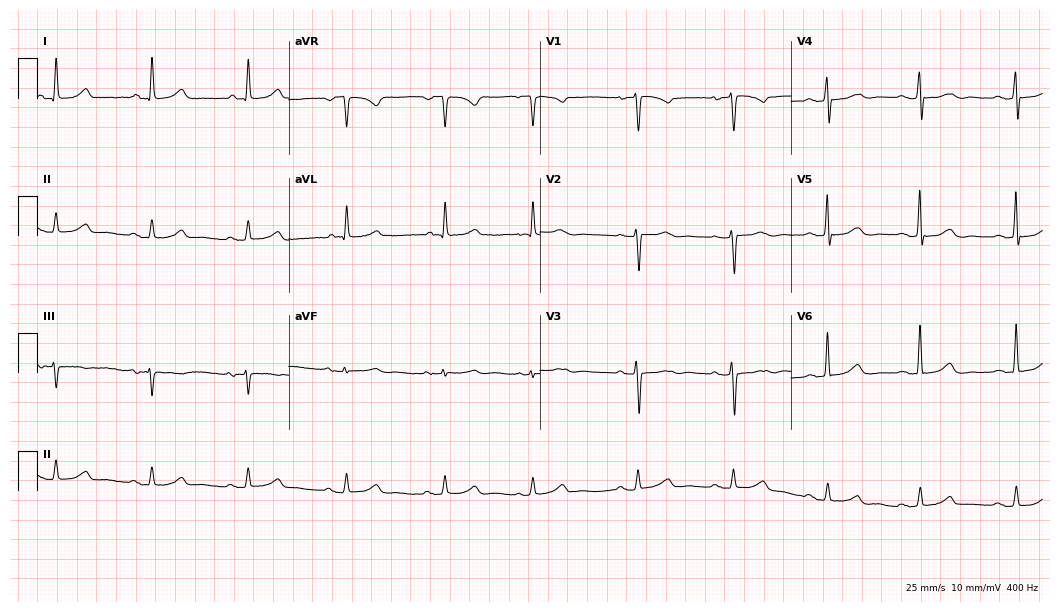
12-lead ECG (10.2-second recording at 400 Hz) from a 71-year-old female. Screened for six findings — first-degree AV block, right bundle branch block, left bundle branch block, sinus bradycardia, atrial fibrillation, sinus tachycardia — none is recorded.